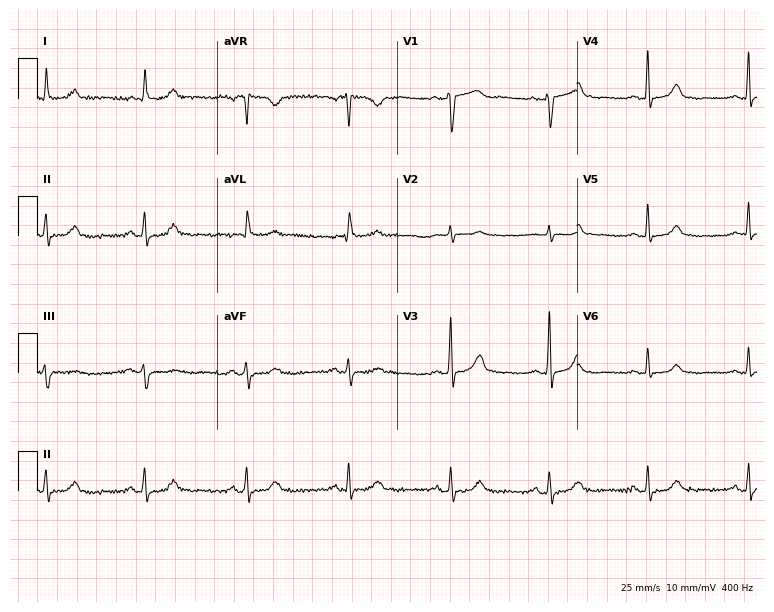
Electrocardiogram (7.3-second recording at 400 Hz), a 68-year-old woman. Overall reading on record: normal ECG.